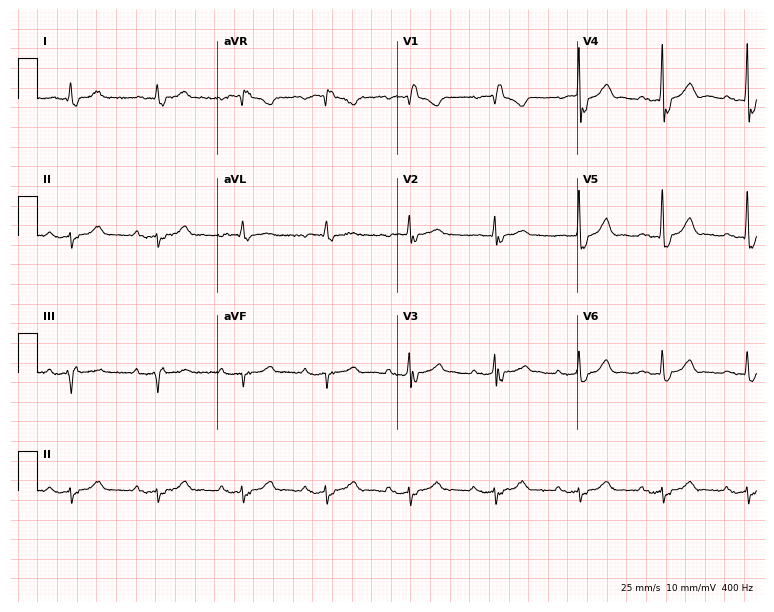
12-lead ECG (7.3-second recording at 400 Hz) from a female patient, 81 years old. Findings include right bundle branch block.